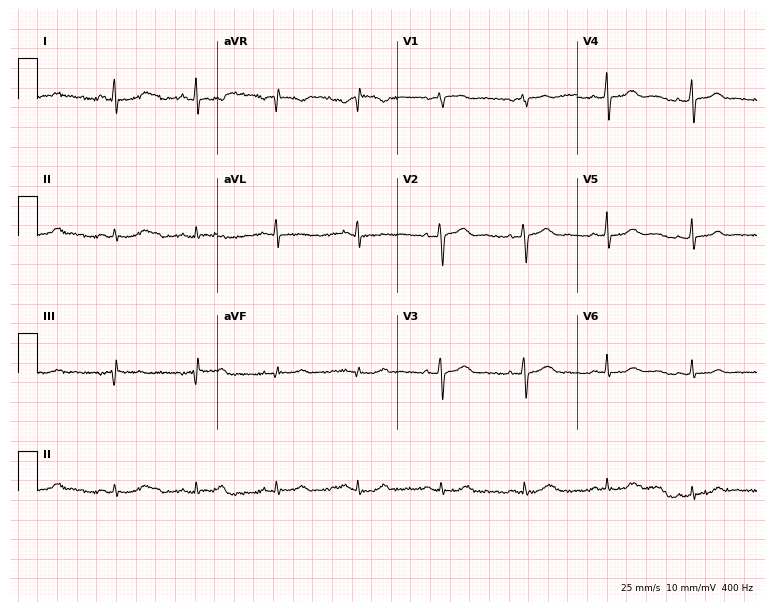
ECG (7.3-second recording at 400 Hz) — a 52-year-old female patient. Labelled as a normal ECG.